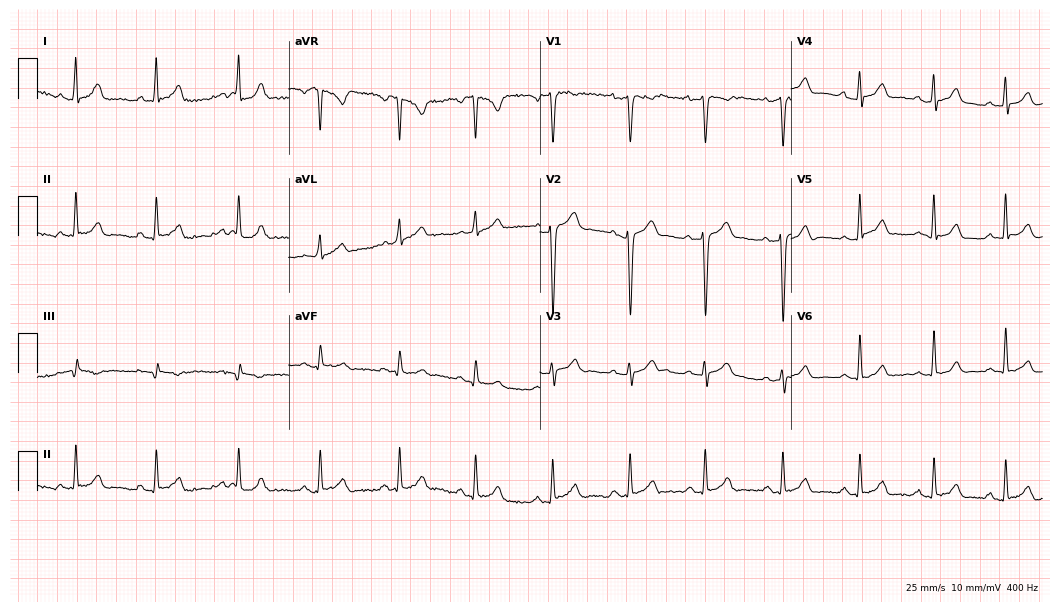
ECG — a 31-year-old male patient. Screened for six findings — first-degree AV block, right bundle branch block, left bundle branch block, sinus bradycardia, atrial fibrillation, sinus tachycardia — none is recorded. Only these six findings were labelled.